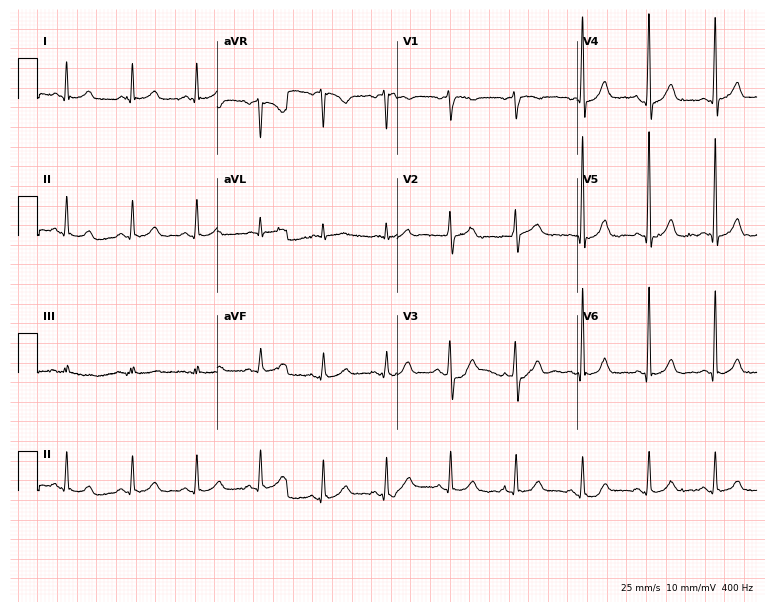
Standard 12-lead ECG recorded from a 71-year-old man. Read as a normal ECG.